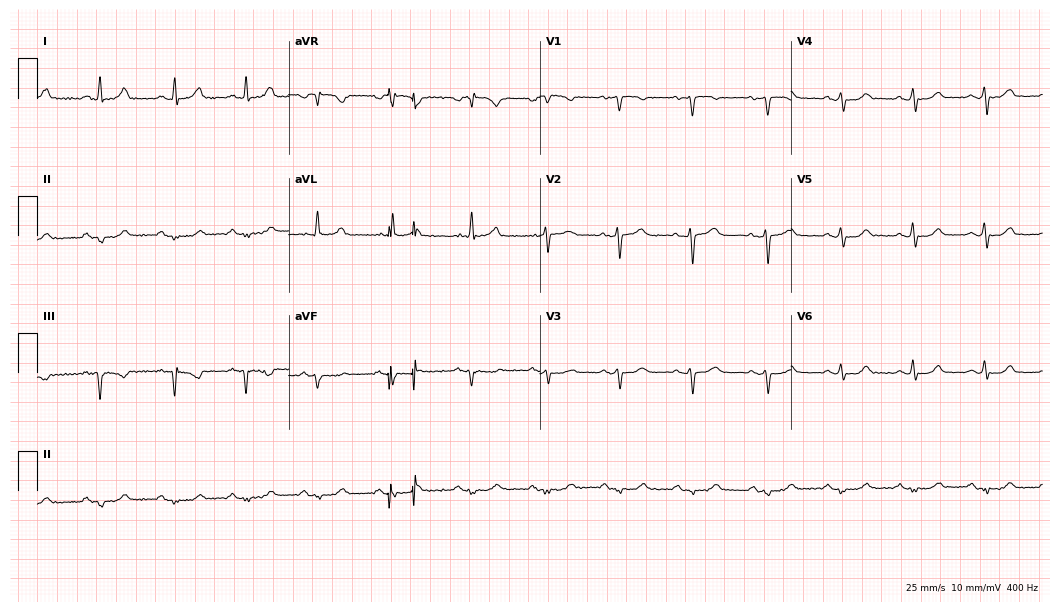
ECG (10.2-second recording at 400 Hz) — a 61-year-old female patient. Screened for six findings — first-degree AV block, right bundle branch block (RBBB), left bundle branch block (LBBB), sinus bradycardia, atrial fibrillation (AF), sinus tachycardia — none is recorded.